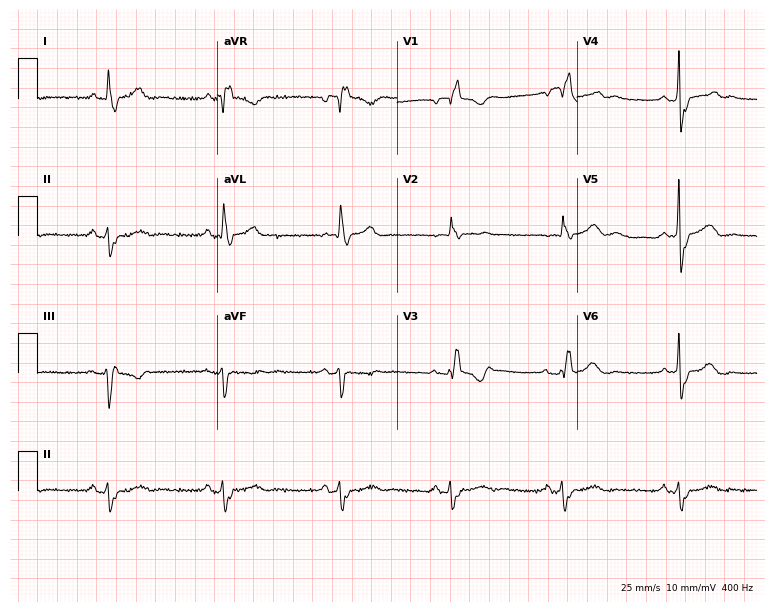
ECG (7.3-second recording at 400 Hz) — a 42-year-old woman. Findings include right bundle branch block.